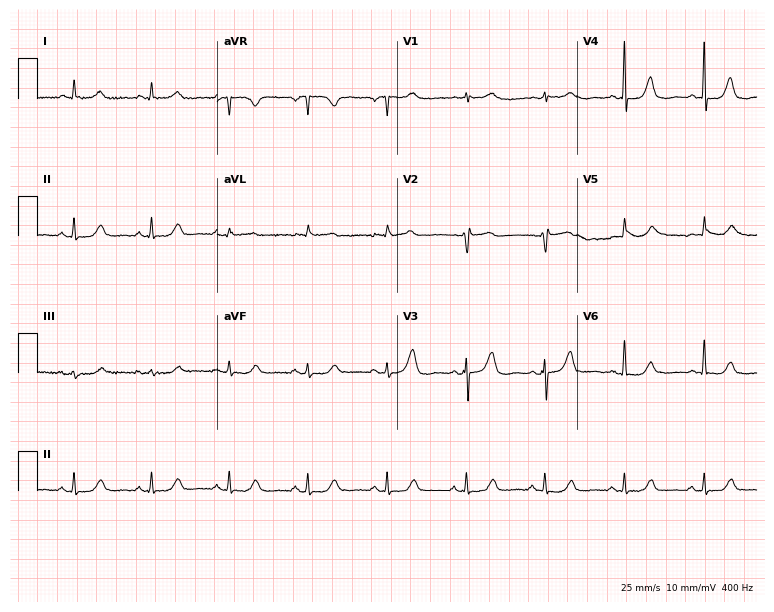
Standard 12-lead ECG recorded from a female patient, 51 years old. None of these six findings is recorded: first-degree AV block, right bundle branch block, left bundle branch block, sinus bradycardia, atrial fibrillation, sinus tachycardia. Other findings, if any, are not listed.